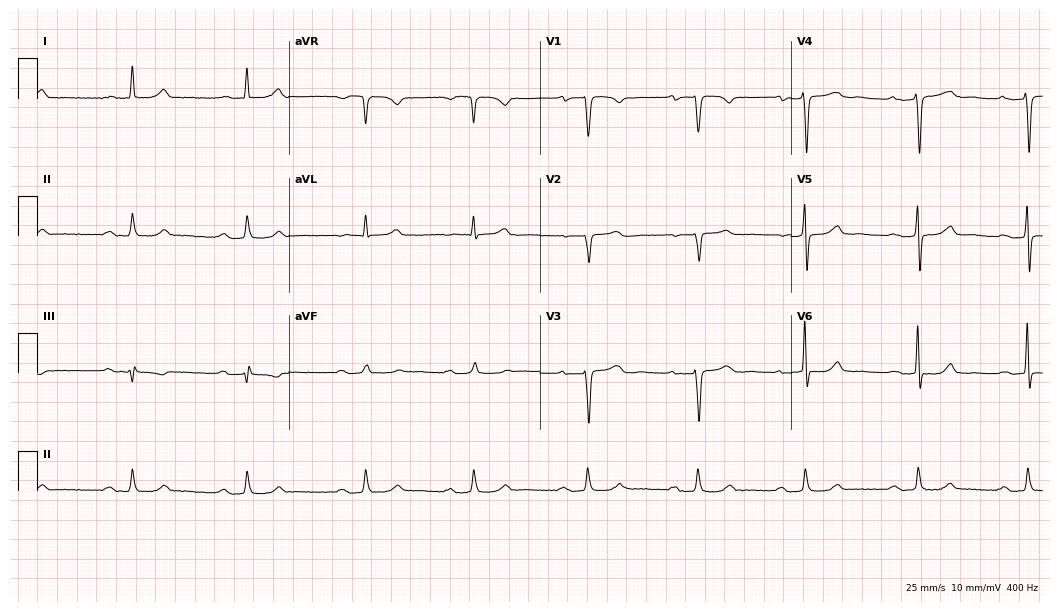
Standard 12-lead ECG recorded from a 79-year-old woman (10.2-second recording at 400 Hz). The tracing shows first-degree AV block.